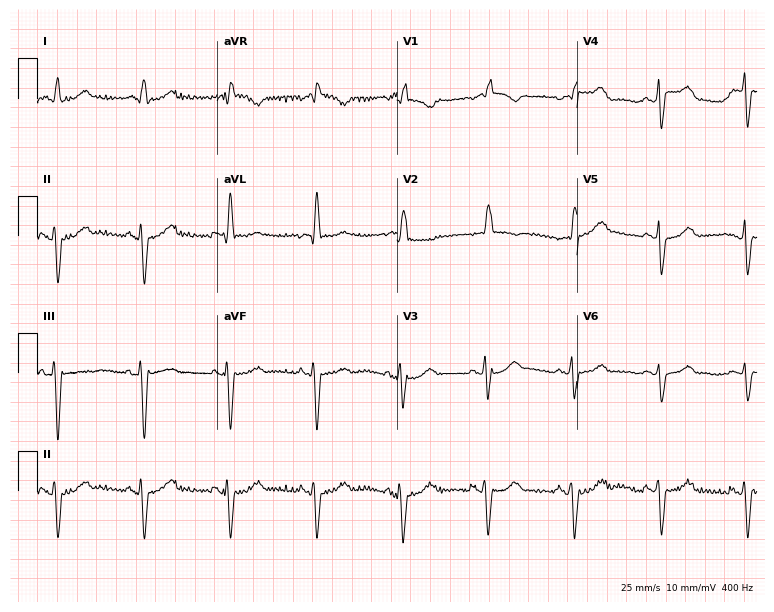
12-lead ECG (7.3-second recording at 400 Hz) from a woman, 77 years old. Screened for six findings — first-degree AV block, right bundle branch block (RBBB), left bundle branch block (LBBB), sinus bradycardia, atrial fibrillation (AF), sinus tachycardia — none is recorded. Findings outside these six are not listed.